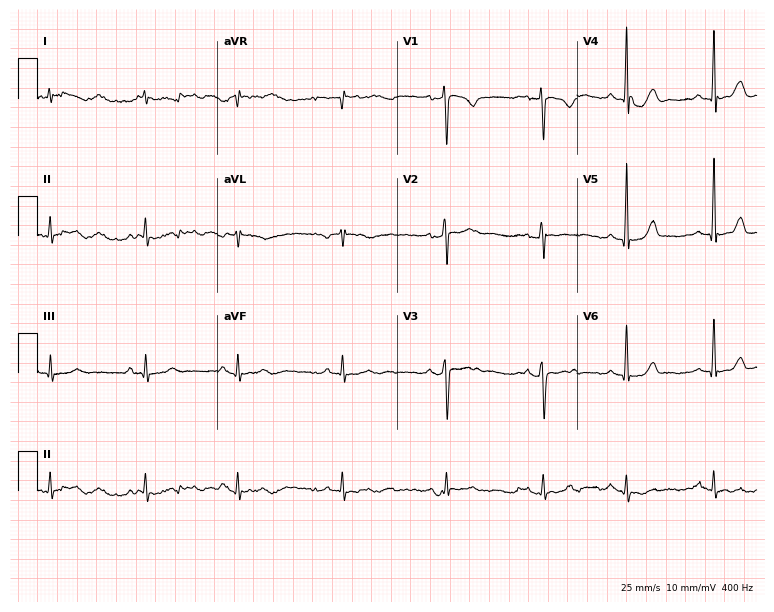
Standard 12-lead ECG recorded from a female, 27 years old (7.3-second recording at 400 Hz). None of these six findings is recorded: first-degree AV block, right bundle branch block (RBBB), left bundle branch block (LBBB), sinus bradycardia, atrial fibrillation (AF), sinus tachycardia. Other findings, if any, are not listed.